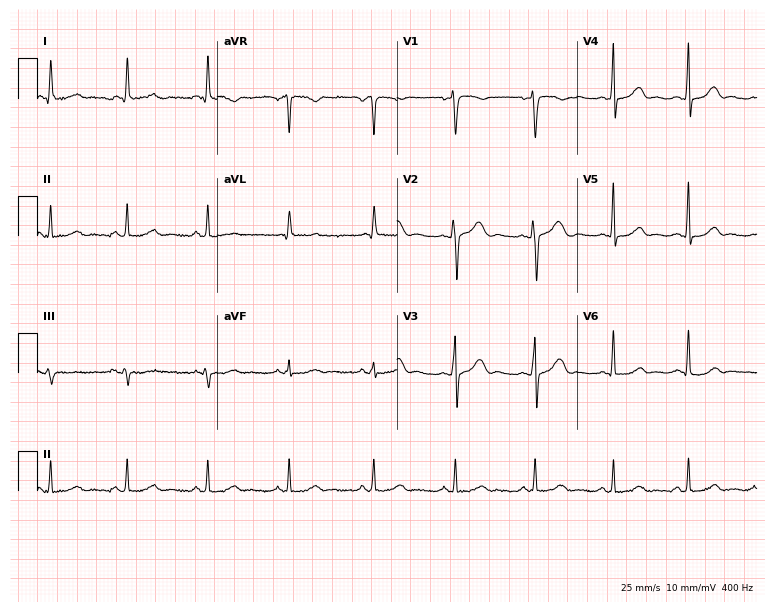
Standard 12-lead ECG recorded from a woman, 29 years old (7.3-second recording at 400 Hz). None of these six findings is recorded: first-degree AV block, right bundle branch block (RBBB), left bundle branch block (LBBB), sinus bradycardia, atrial fibrillation (AF), sinus tachycardia. Only these six findings were labelled.